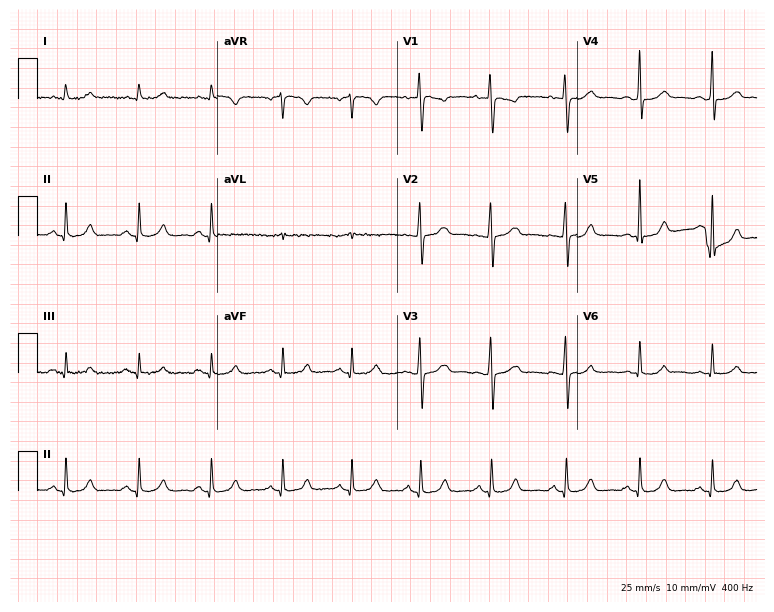
12-lead ECG from a woman, 35 years old. No first-degree AV block, right bundle branch block (RBBB), left bundle branch block (LBBB), sinus bradycardia, atrial fibrillation (AF) or sinus tachycardia recorded for this tracing. Other findings, if any, are not listed.